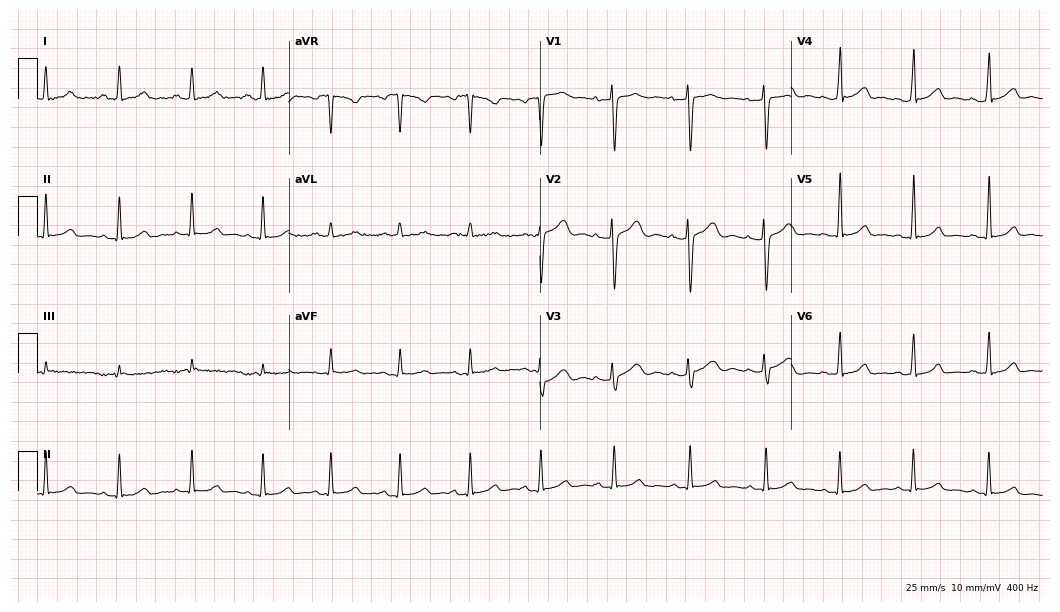
Standard 12-lead ECG recorded from a 27-year-old female patient. Read as a normal ECG.